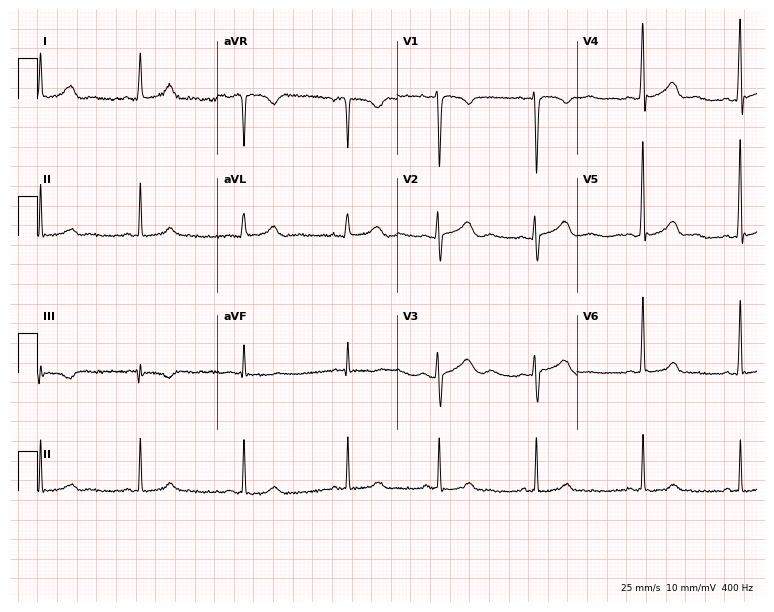
Resting 12-lead electrocardiogram (7.3-second recording at 400 Hz). Patient: a 20-year-old female. None of these six findings is recorded: first-degree AV block, right bundle branch block (RBBB), left bundle branch block (LBBB), sinus bradycardia, atrial fibrillation (AF), sinus tachycardia. Only these six findings were labelled.